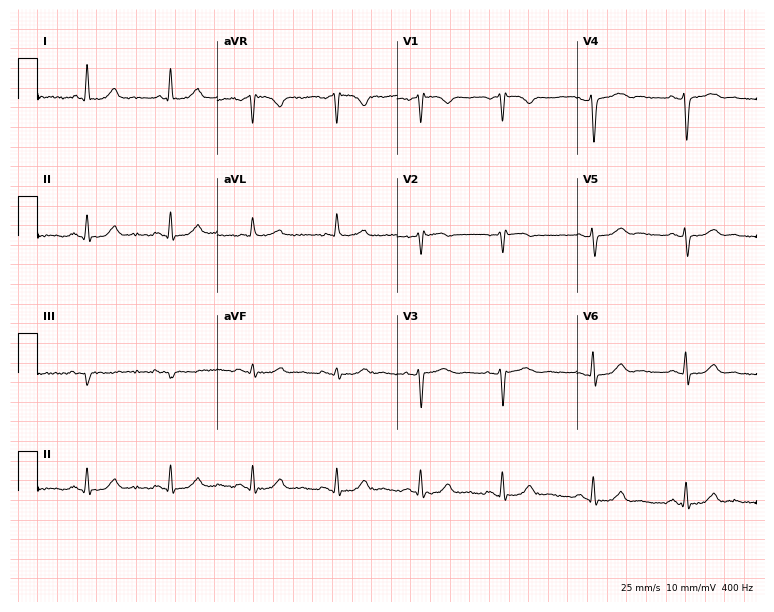
12-lead ECG from a female patient, 63 years old. No first-degree AV block, right bundle branch block (RBBB), left bundle branch block (LBBB), sinus bradycardia, atrial fibrillation (AF) or sinus tachycardia recorded for this tracing.